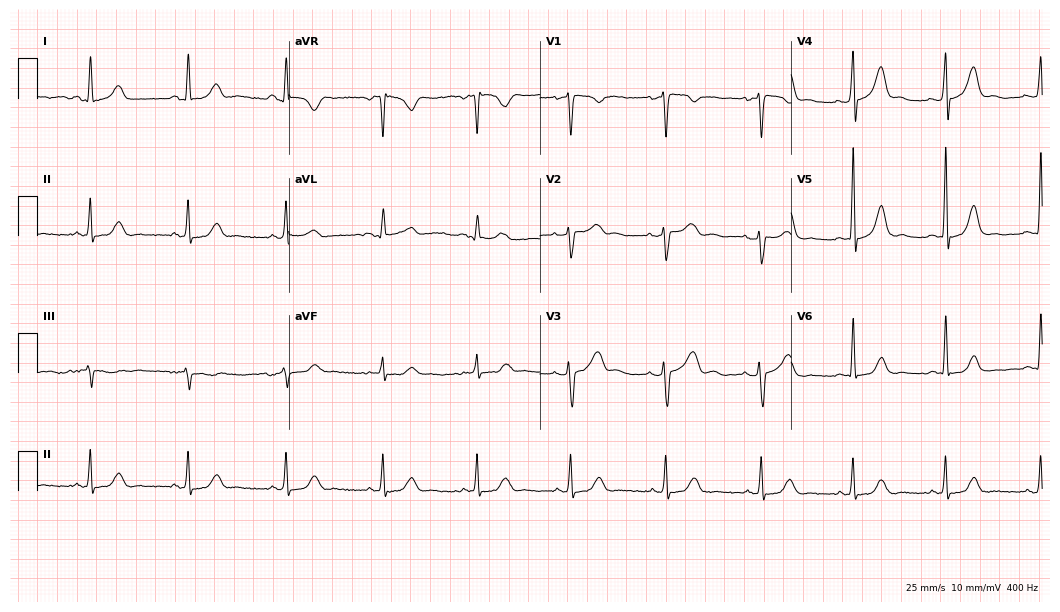
12-lead ECG (10.2-second recording at 400 Hz) from a woman, 48 years old. Labelled as a normal ECG.